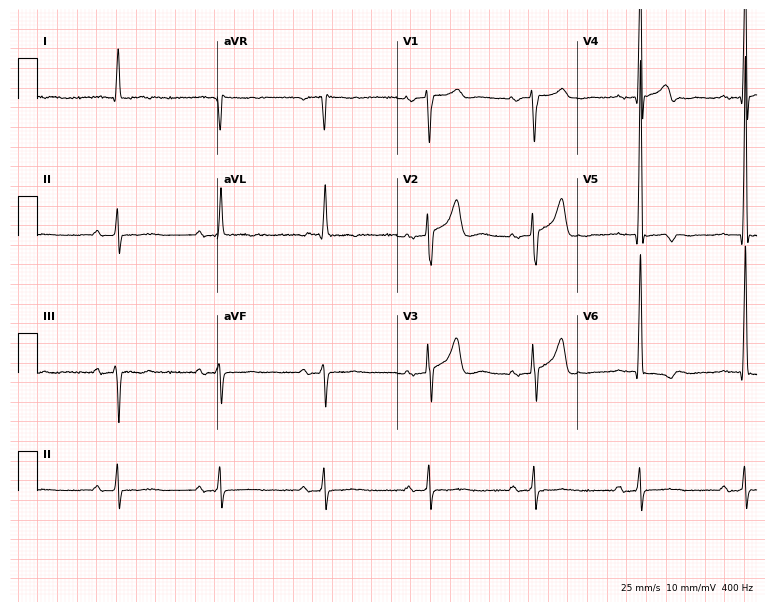
Standard 12-lead ECG recorded from an 80-year-old man. None of these six findings is recorded: first-degree AV block, right bundle branch block, left bundle branch block, sinus bradycardia, atrial fibrillation, sinus tachycardia. Only these six findings were labelled.